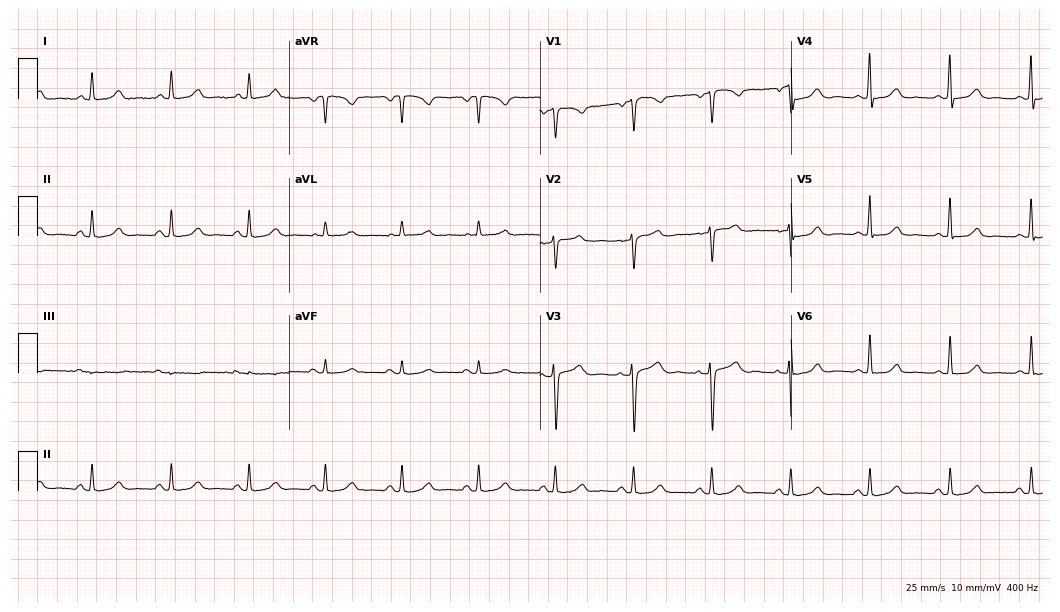
ECG (10.2-second recording at 400 Hz) — a woman, 51 years old. Labelled as a normal ECG.